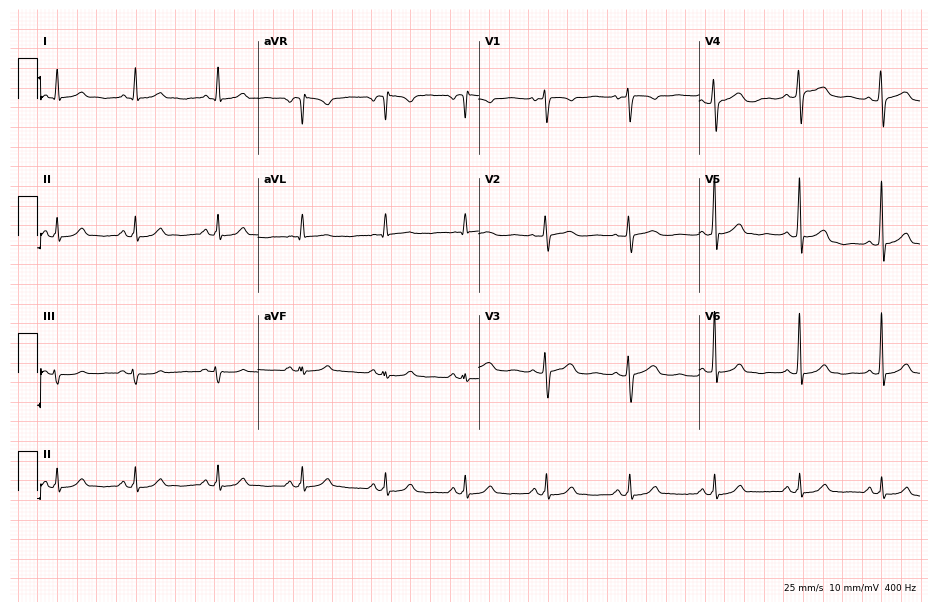
Standard 12-lead ECG recorded from a female, 30 years old. Read as a normal ECG.